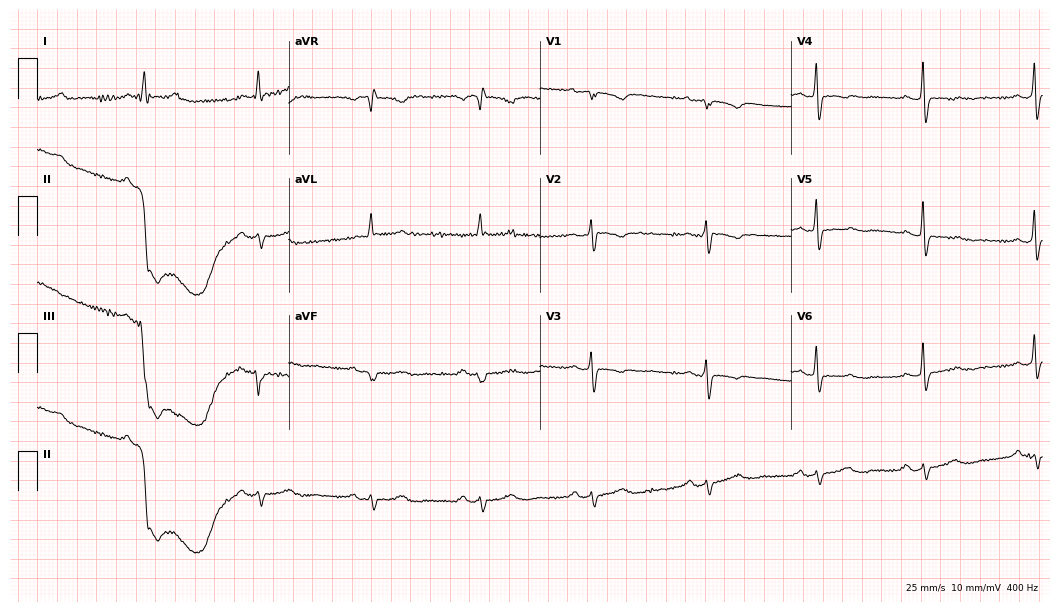
ECG (10.2-second recording at 400 Hz) — a woman, 66 years old. Screened for six findings — first-degree AV block, right bundle branch block, left bundle branch block, sinus bradycardia, atrial fibrillation, sinus tachycardia — none is recorded.